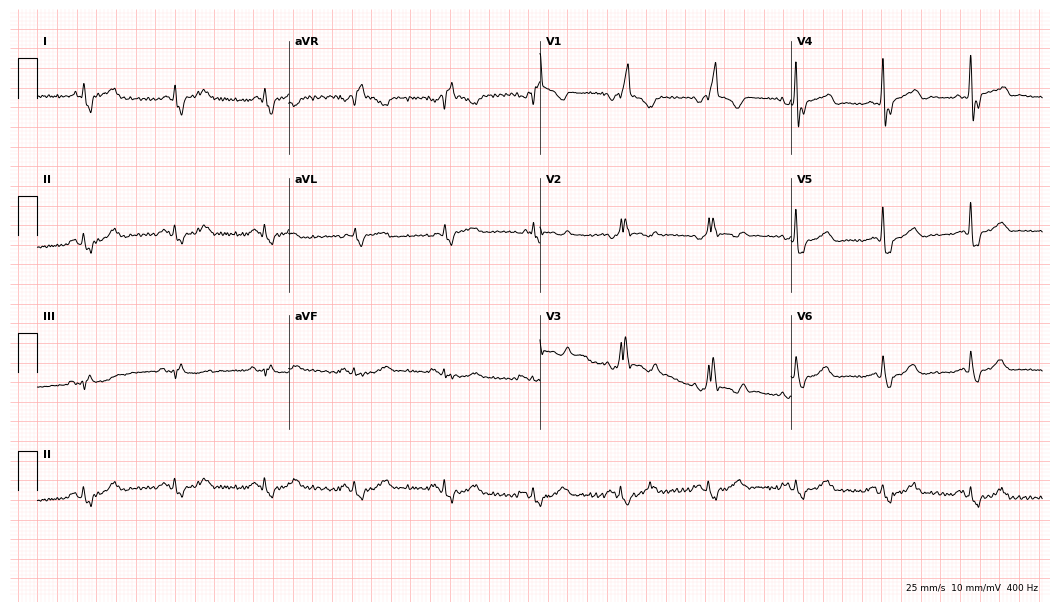
Electrocardiogram (10.2-second recording at 400 Hz), an 83-year-old male patient. Interpretation includes right bundle branch block (RBBB).